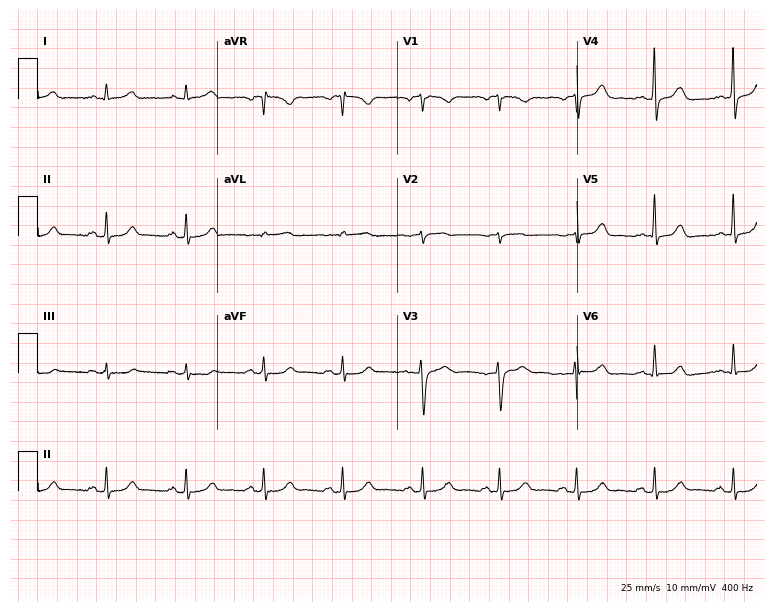
Resting 12-lead electrocardiogram. Patient: a 44-year-old female. Read as a normal ECG.